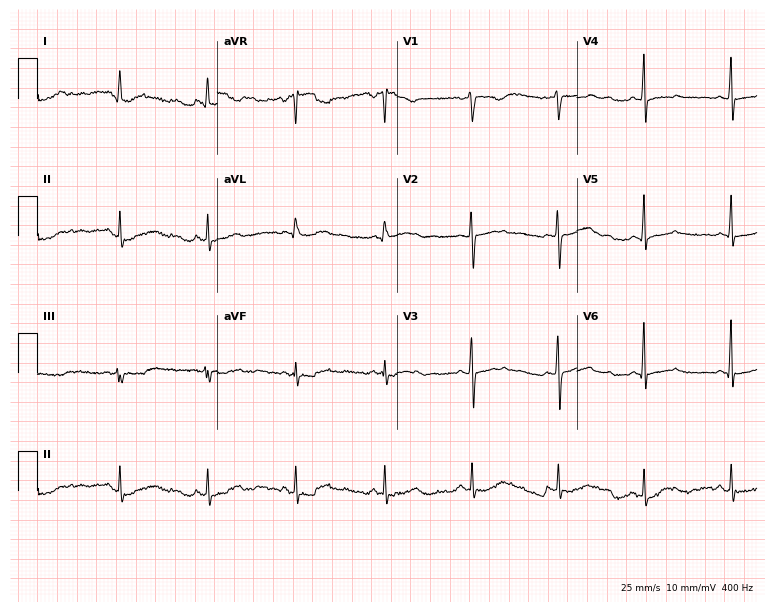
Electrocardiogram, a 52-year-old woman. Overall reading on record: normal ECG.